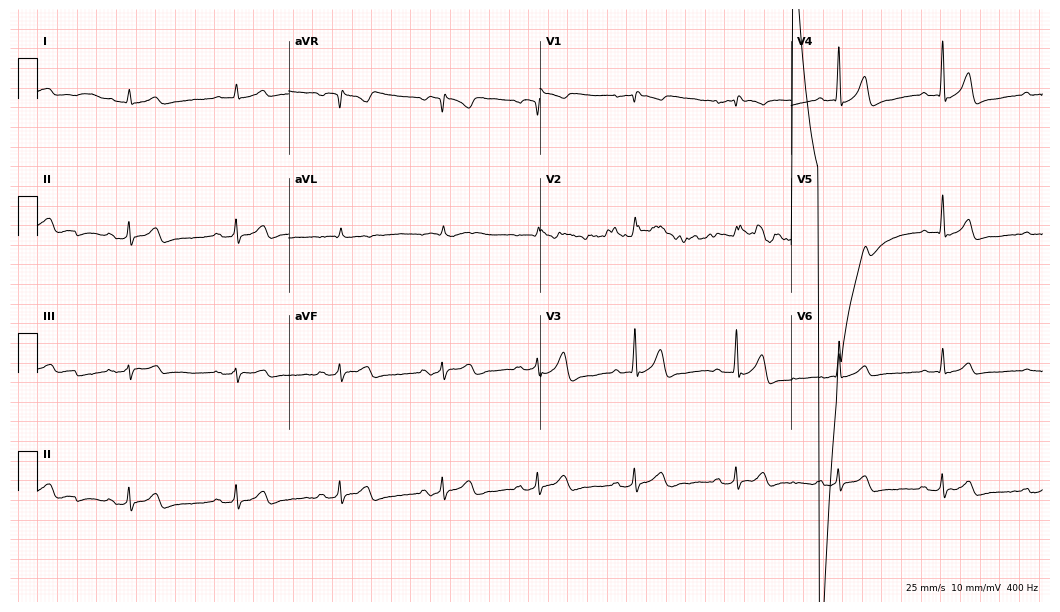
Standard 12-lead ECG recorded from a male patient, 62 years old. Read as a normal ECG.